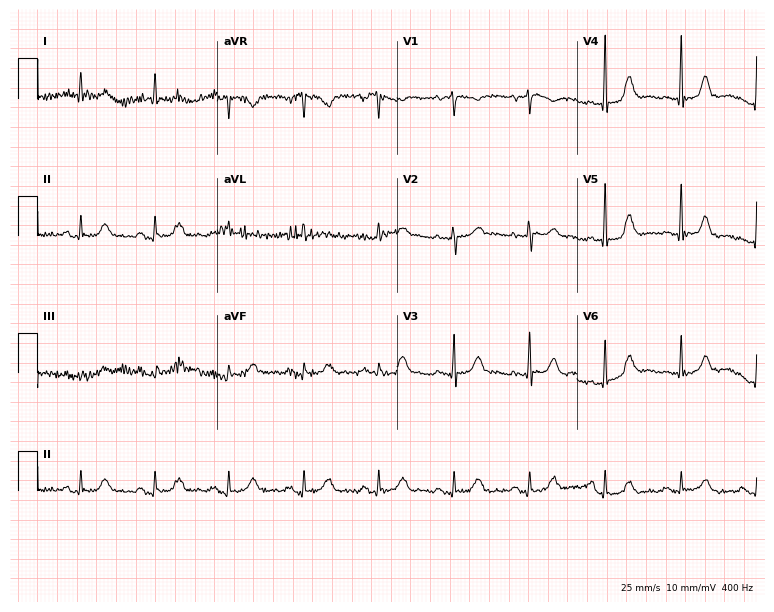
12-lead ECG (7.3-second recording at 400 Hz) from an 82-year-old female. Screened for six findings — first-degree AV block, right bundle branch block, left bundle branch block, sinus bradycardia, atrial fibrillation, sinus tachycardia — none is recorded. Other findings, if any, are not listed.